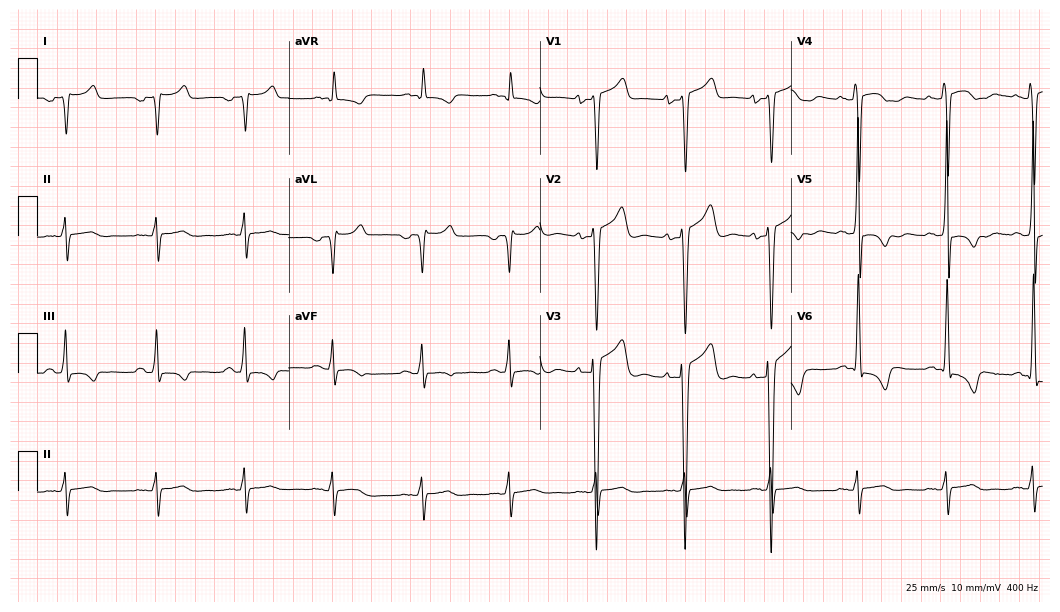
Resting 12-lead electrocardiogram. Patient: a 67-year-old male. None of these six findings is recorded: first-degree AV block, right bundle branch block, left bundle branch block, sinus bradycardia, atrial fibrillation, sinus tachycardia.